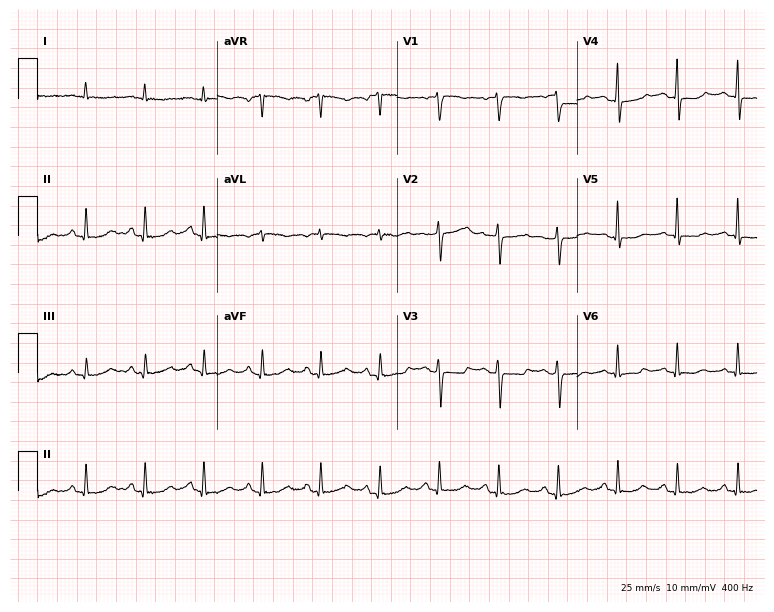
Electrocardiogram (7.3-second recording at 400 Hz), a woman, 53 years old. Overall reading on record: normal ECG.